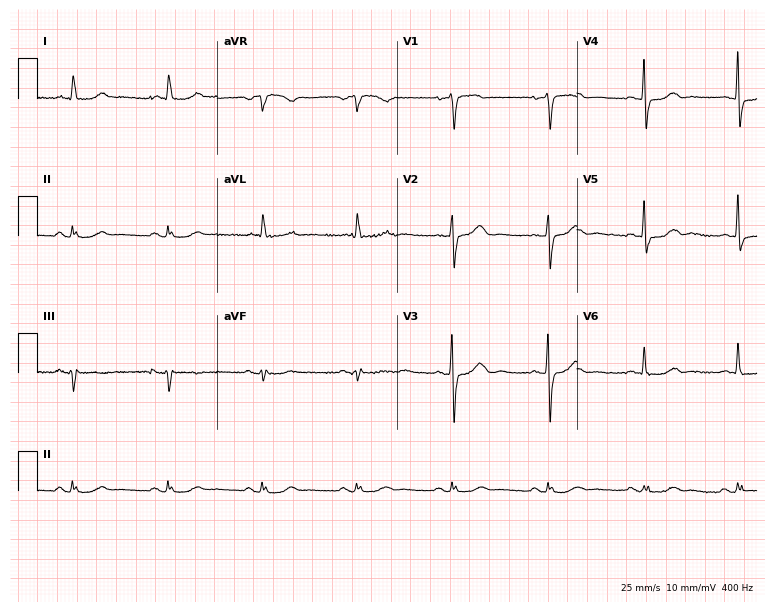
ECG — a 75-year-old woman. Screened for six findings — first-degree AV block, right bundle branch block, left bundle branch block, sinus bradycardia, atrial fibrillation, sinus tachycardia — none is recorded. Other findings, if any, are not listed.